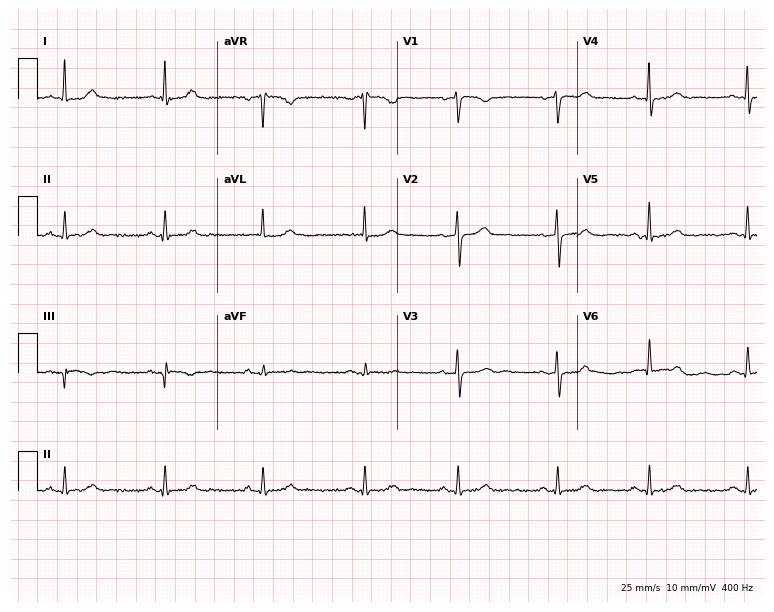
Standard 12-lead ECG recorded from a 49-year-old woman (7.3-second recording at 400 Hz). Read as a normal ECG.